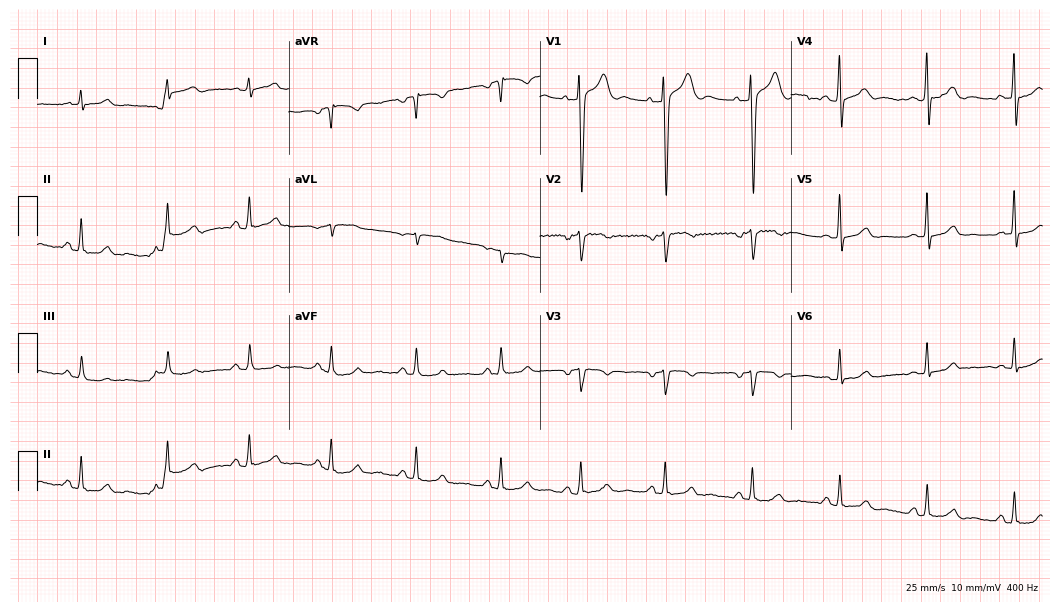
ECG — a male, 40 years old. Screened for six findings — first-degree AV block, right bundle branch block (RBBB), left bundle branch block (LBBB), sinus bradycardia, atrial fibrillation (AF), sinus tachycardia — none is recorded. Findings outside these six are not listed.